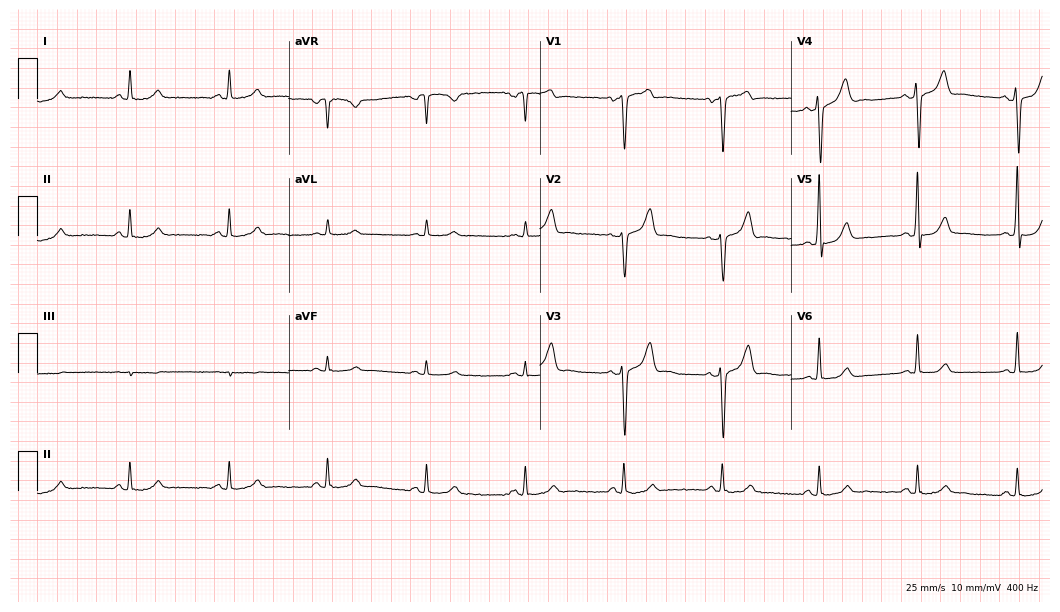
Electrocardiogram (10.2-second recording at 400 Hz), a 66-year-old man. Overall reading on record: normal ECG.